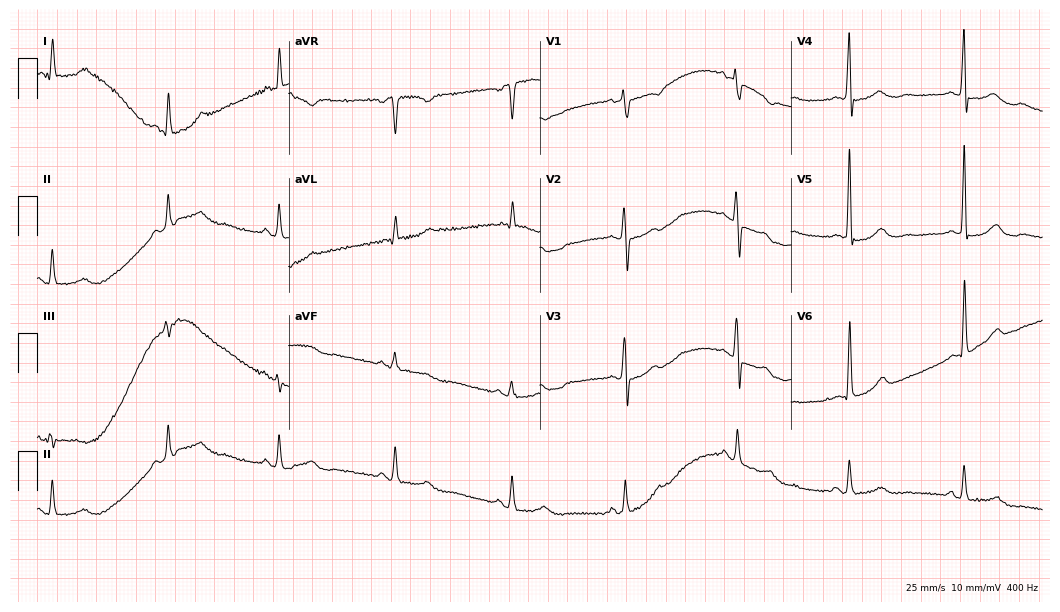
12-lead ECG from a 67-year-old female. No first-degree AV block, right bundle branch block, left bundle branch block, sinus bradycardia, atrial fibrillation or sinus tachycardia recorded for this tracing. Only these six findings were labelled.